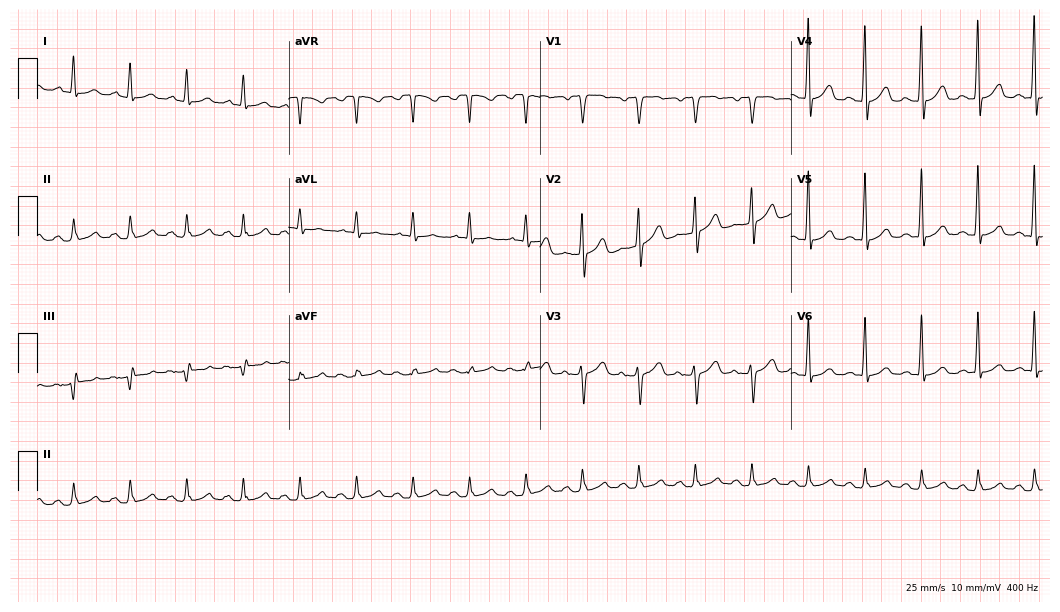
12-lead ECG (10.2-second recording at 400 Hz) from a 64-year-old male. Findings include sinus tachycardia (a sinus rate of 100 beats per minute or more).